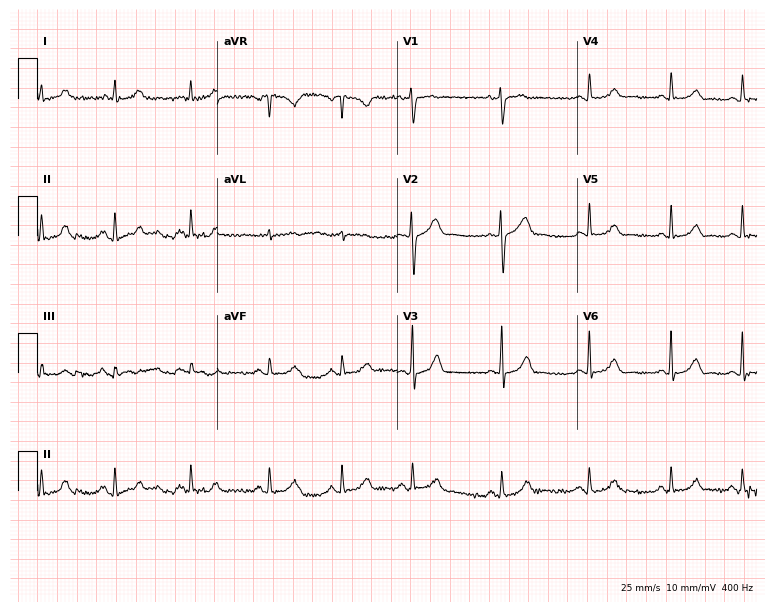
ECG — a 46-year-old female patient. Labelled as a normal ECG.